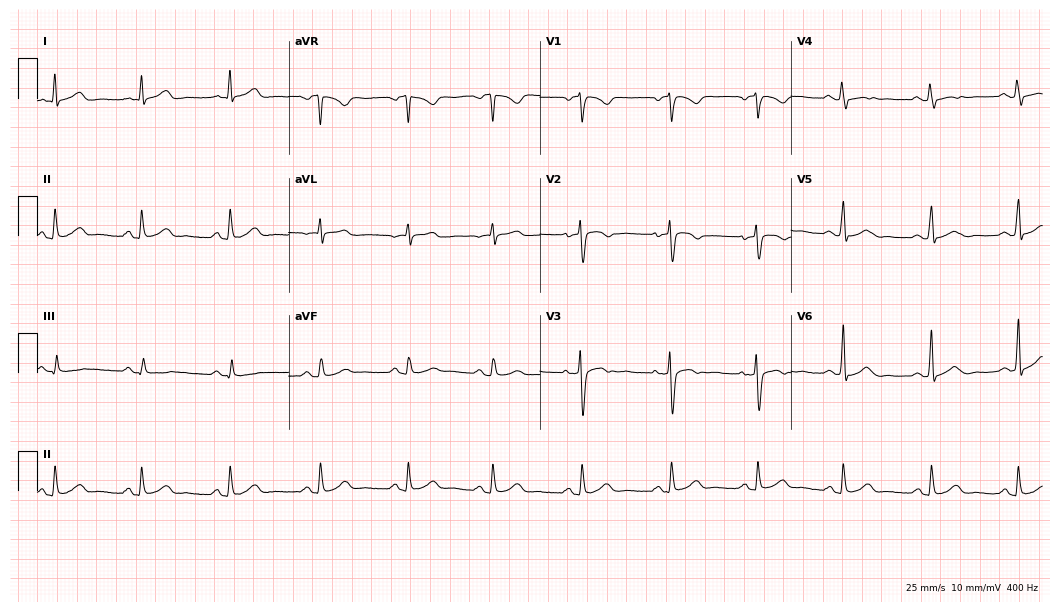
12-lead ECG from a 48-year-old female (10.2-second recording at 400 Hz). Recorded interpretation: within normal limits.